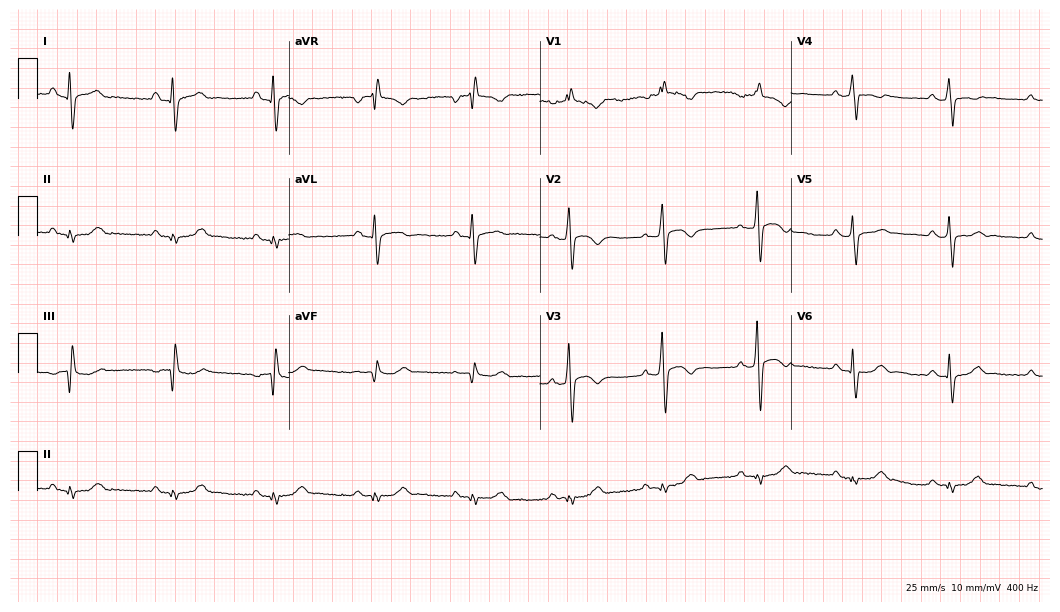
12-lead ECG from a 43-year-old male. Screened for six findings — first-degree AV block, right bundle branch block, left bundle branch block, sinus bradycardia, atrial fibrillation, sinus tachycardia — none is recorded. Only these six findings were labelled.